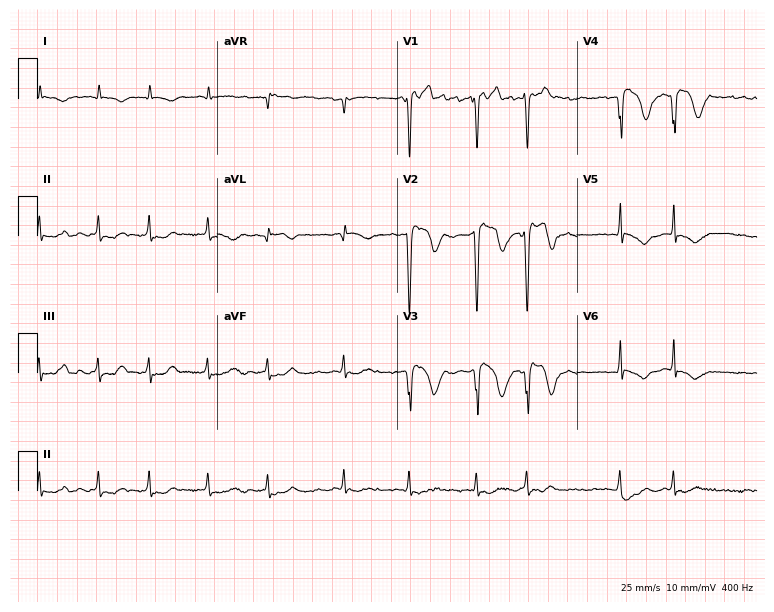
Electrocardiogram (7.3-second recording at 400 Hz), a 69-year-old male patient. Of the six screened findings (first-degree AV block, right bundle branch block, left bundle branch block, sinus bradycardia, atrial fibrillation, sinus tachycardia), none is recorded.